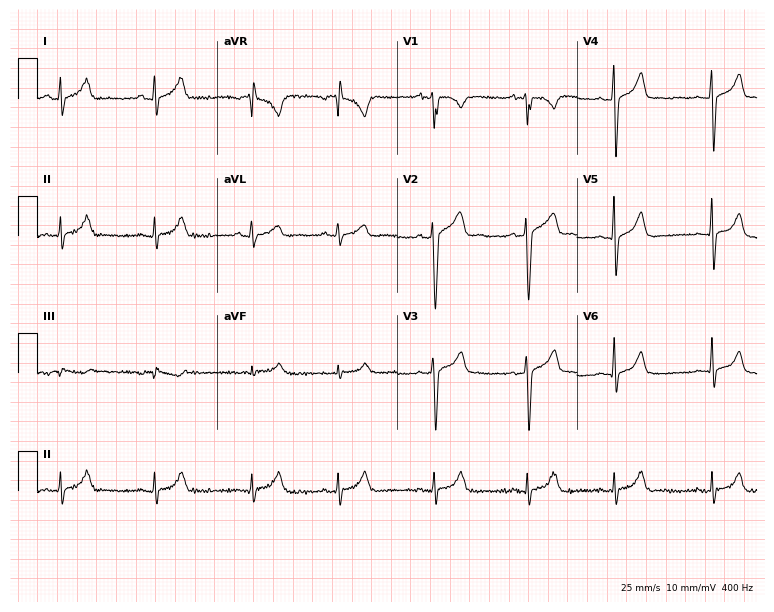
Electrocardiogram (7.3-second recording at 400 Hz), a male patient, 18 years old. Overall reading on record: normal ECG.